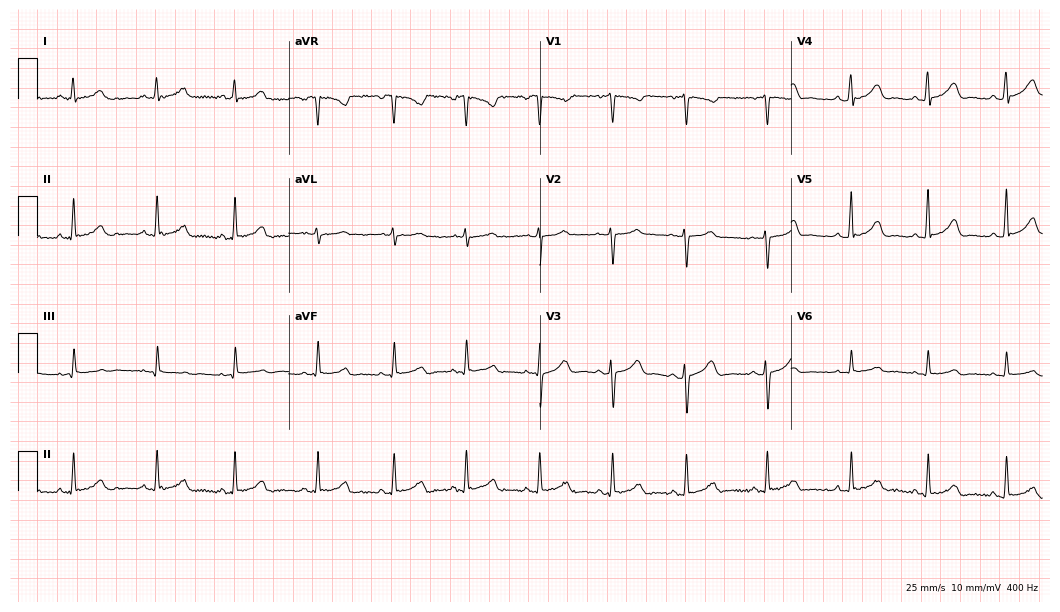
12-lead ECG (10.2-second recording at 400 Hz) from a female patient, 20 years old. Labelled as a normal ECG.